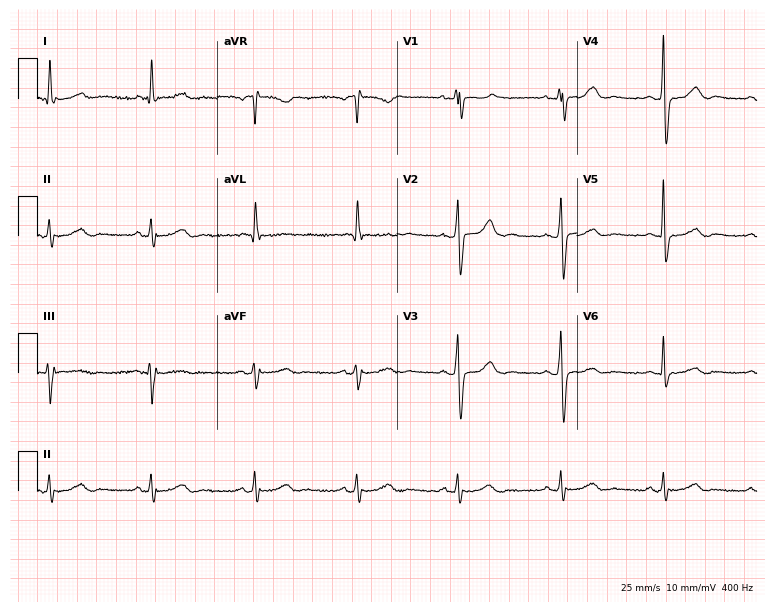
12-lead ECG (7.3-second recording at 400 Hz) from a woman, 72 years old. Screened for six findings — first-degree AV block, right bundle branch block (RBBB), left bundle branch block (LBBB), sinus bradycardia, atrial fibrillation (AF), sinus tachycardia — none is recorded. Other findings, if any, are not listed.